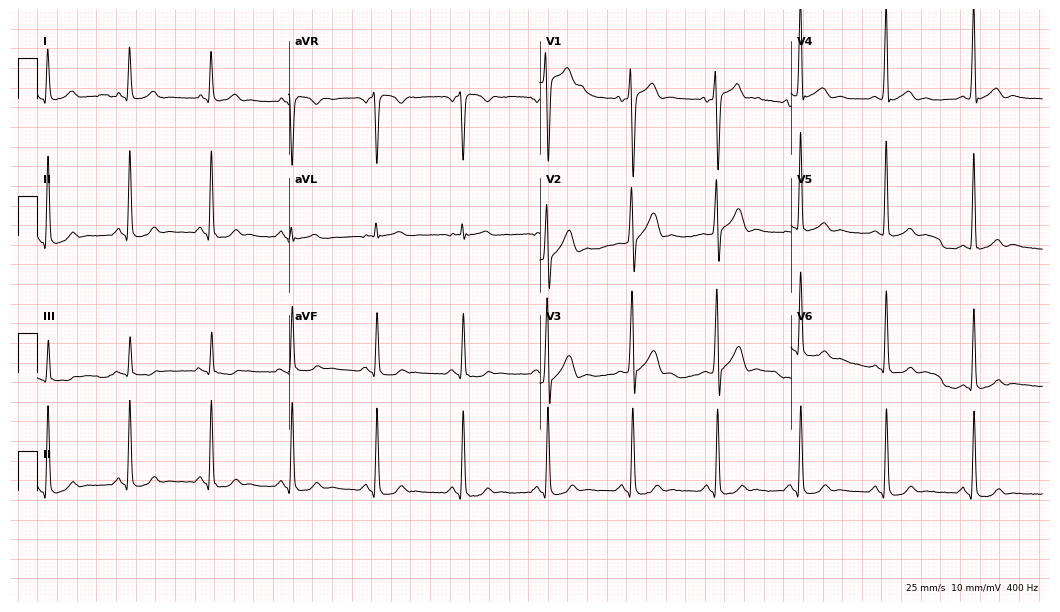
12-lead ECG from a male, 26 years old. Recorded interpretation: within normal limits.